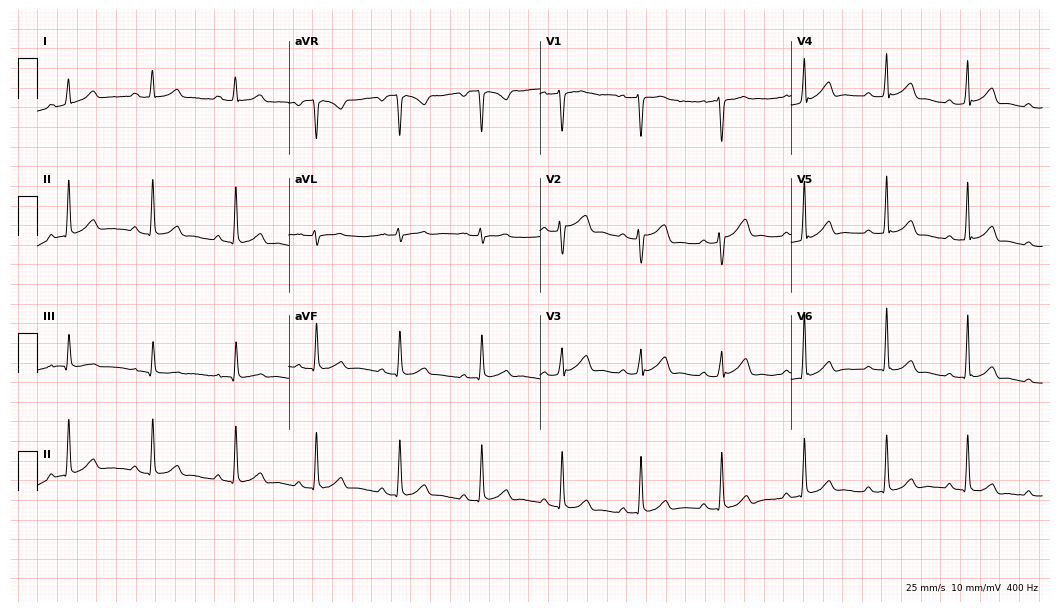
12-lead ECG from a 31-year-old woman (10.2-second recording at 400 Hz). Recorded interpretation: within normal limits.